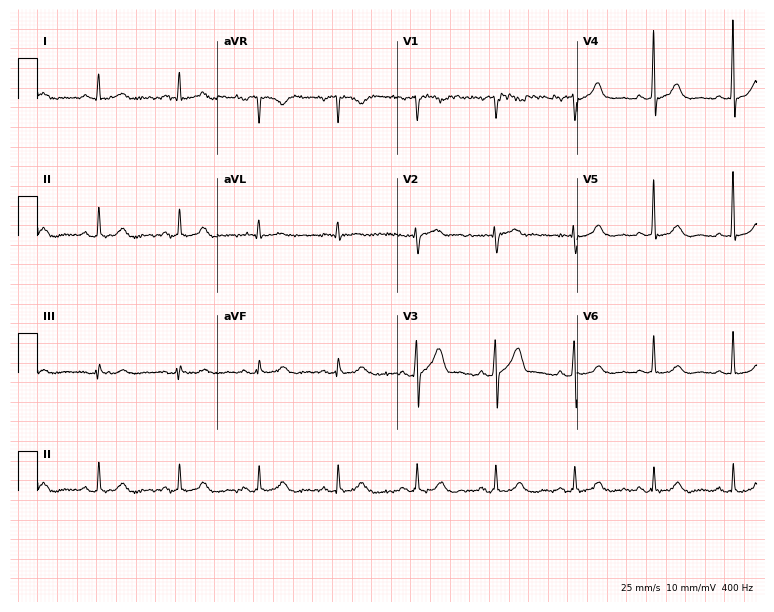
12-lead ECG from a 66-year-old man. Labelled as a normal ECG.